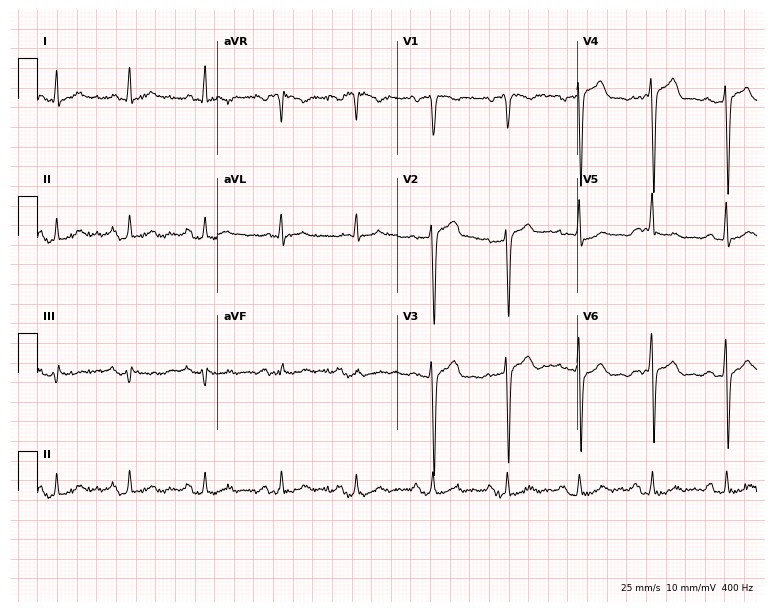
Electrocardiogram, a male, 35 years old. Of the six screened findings (first-degree AV block, right bundle branch block, left bundle branch block, sinus bradycardia, atrial fibrillation, sinus tachycardia), none is recorded. Only these six findings were labelled.